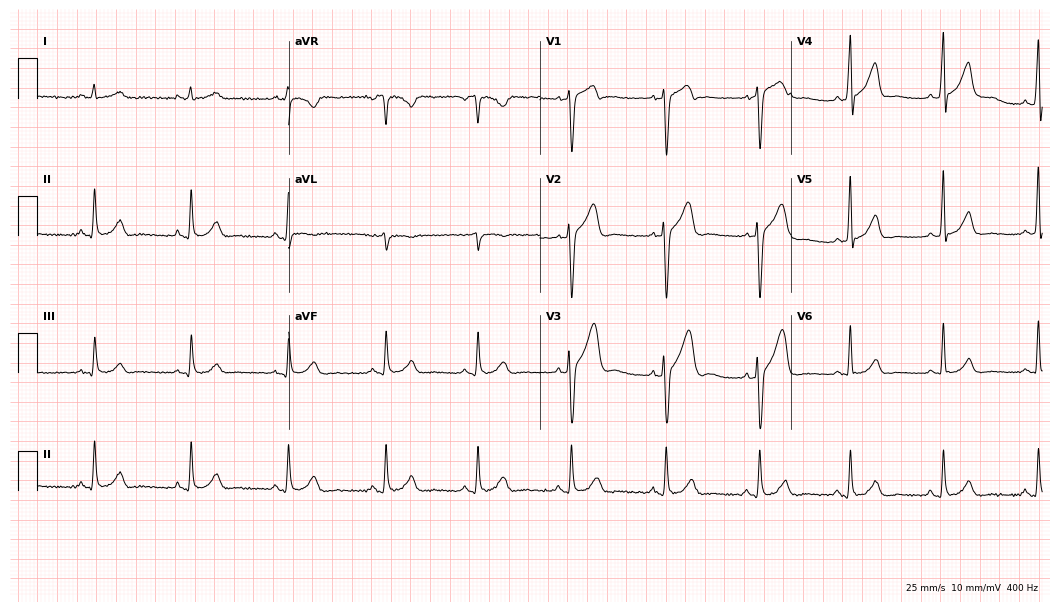
12-lead ECG from a man, 48 years old (10.2-second recording at 400 Hz). No first-degree AV block, right bundle branch block (RBBB), left bundle branch block (LBBB), sinus bradycardia, atrial fibrillation (AF) or sinus tachycardia recorded for this tracing. Findings outside these six are not listed.